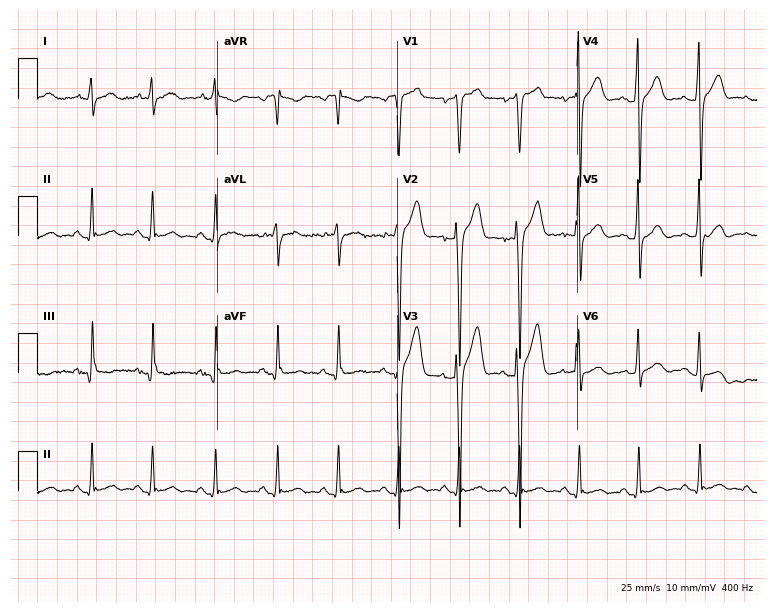
Standard 12-lead ECG recorded from a 32-year-old man (7.3-second recording at 400 Hz). None of these six findings is recorded: first-degree AV block, right bundle branch block (RBBB), left bundle branch block (LBBB), sinus bradycardia, atrial fibrillation (AF), sinus tachycardia. Findings outside these six are not listed.